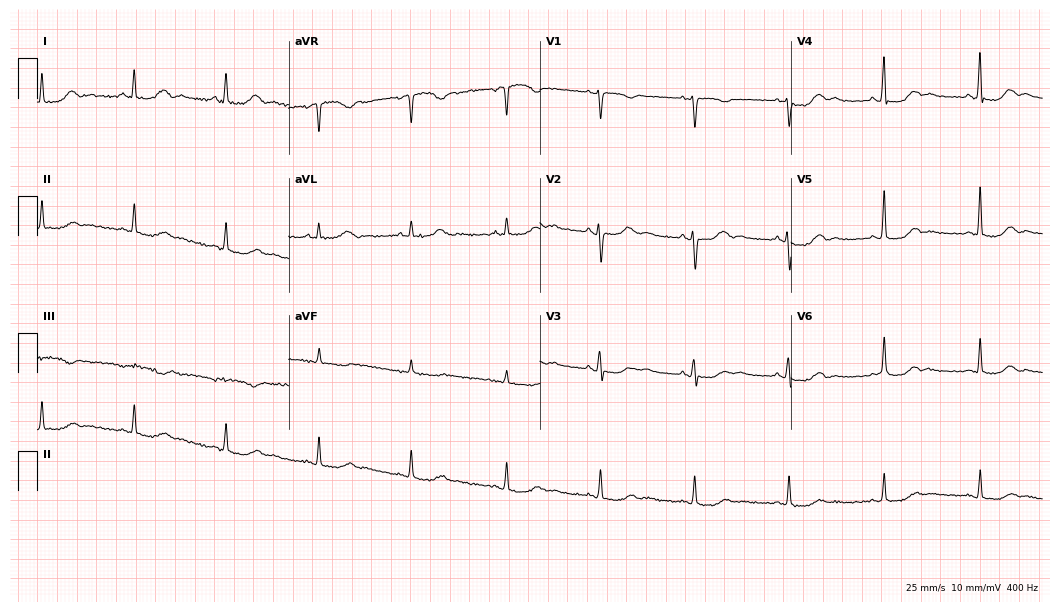
Standard 12-lead ECG recorded from a 58-year-old female (10.2-second recording at 400 Hz). Read as a normal ECG.